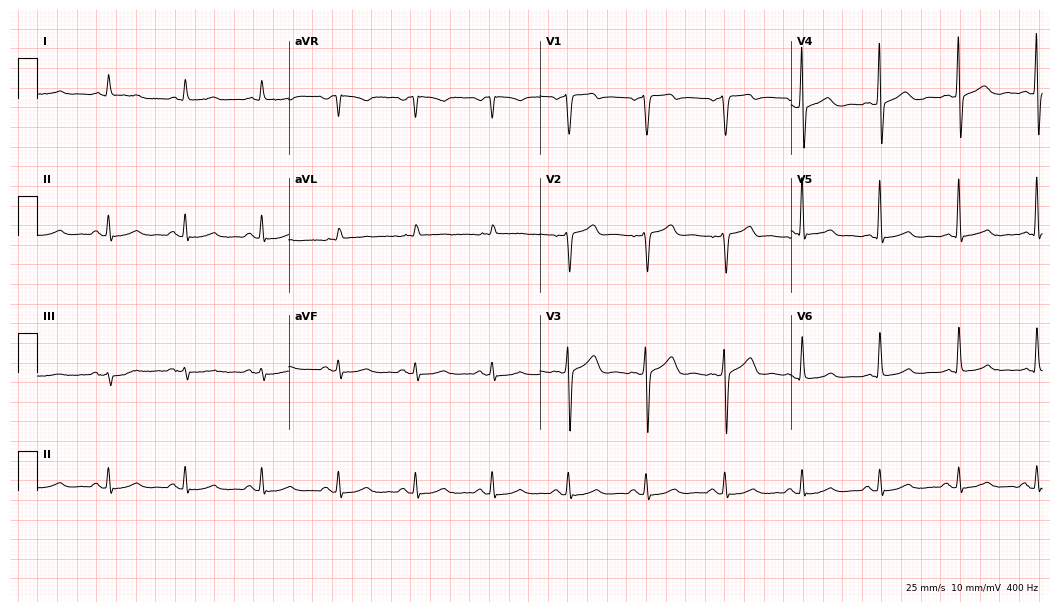
ECG — a man, 70 years old. Screened for six findings — first-degree AV block, right bundle branch block, left bundle branch block, sinus bradycardia, atrial fibrillation, sinus tachycardia — none is recorded. Other findings, if any, are not listed.